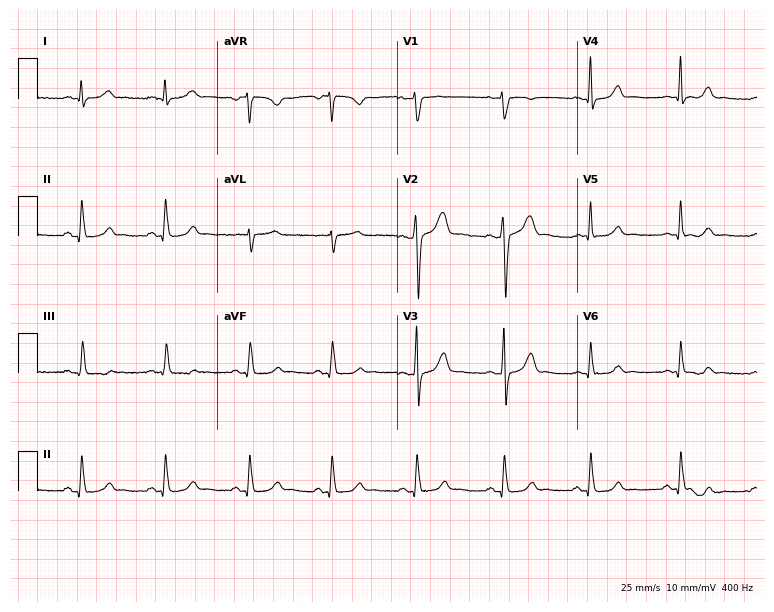
Standard 12-lead ECG recorded from a woman, 39 years old (7.3-second recording at 400 Hz). None of these six findings is recorded: first-degree AV block, right bundle branch block, left bundle branch block, sinus bradycardia, atrial fibrillation, sinus tachycardia.